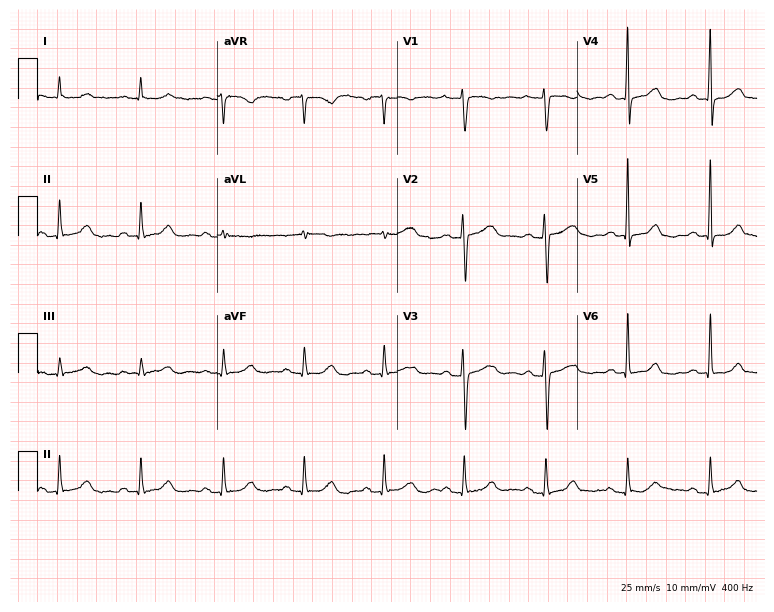
Standard 12-lead ECG recorded from a woman, 49 years old (7.3-second recording at 400 Hz). None of these six findings is recorded: first-degree AV block, right bundle branch block, left bundle branch block, sinus bradycardia, atrial fibrillation, sinus tachycardia.